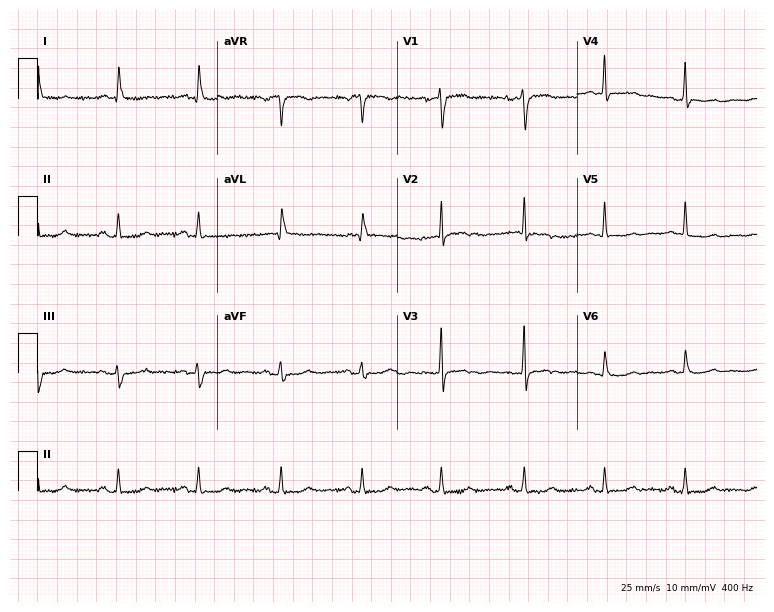
ECG — a 78-year-old female. Screened for six findings — first-degree AV block, right bundle branch block (RBBB), left bundle branch block (LBBB), sinus bradycardia, atrial fibrillation (AF), sinus tachycardia — none is recorded. Only these six findings were labelled.